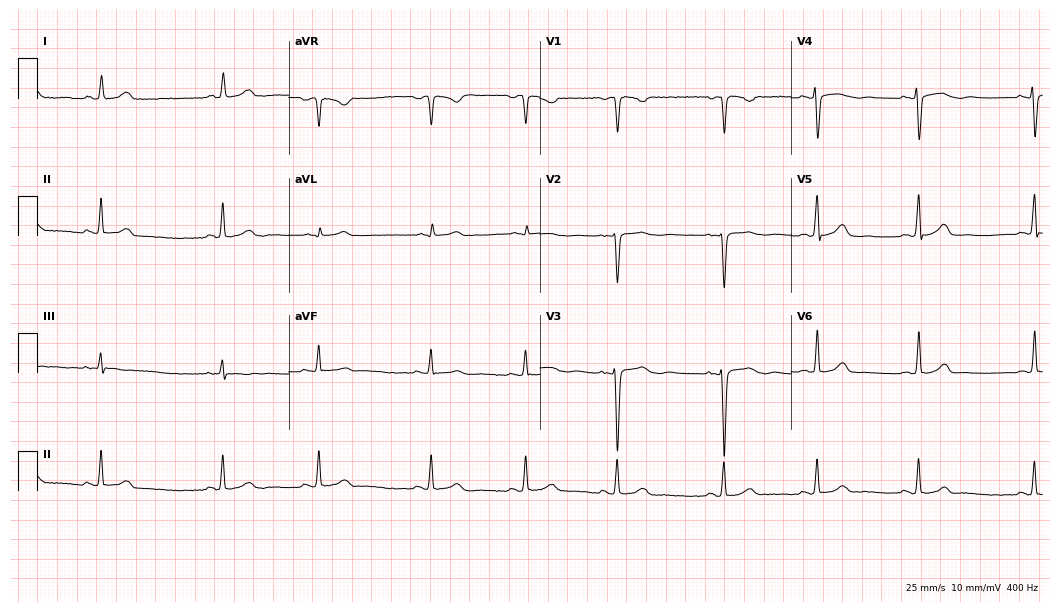
ECG — a female patient, 29 years old. Labelled as a normal ECG.